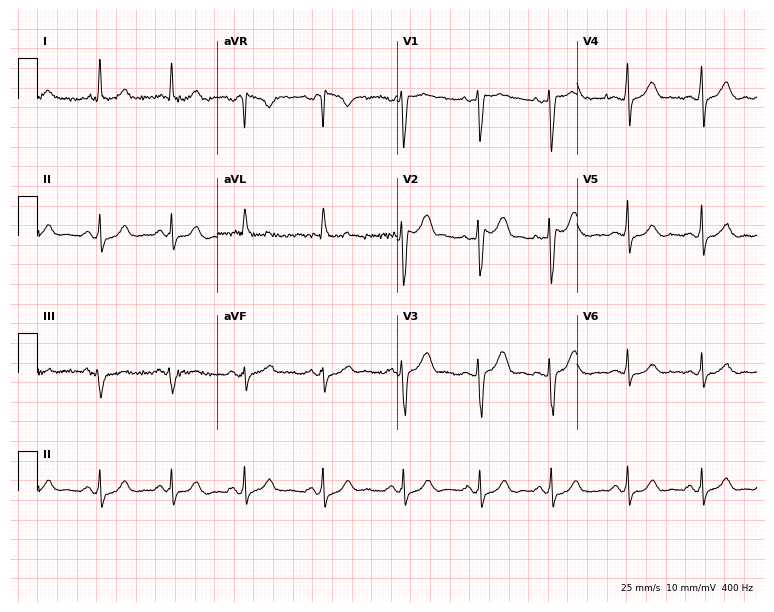
12-lead ECG from a 46-year-old male patient. Labelled as a normal ECG.